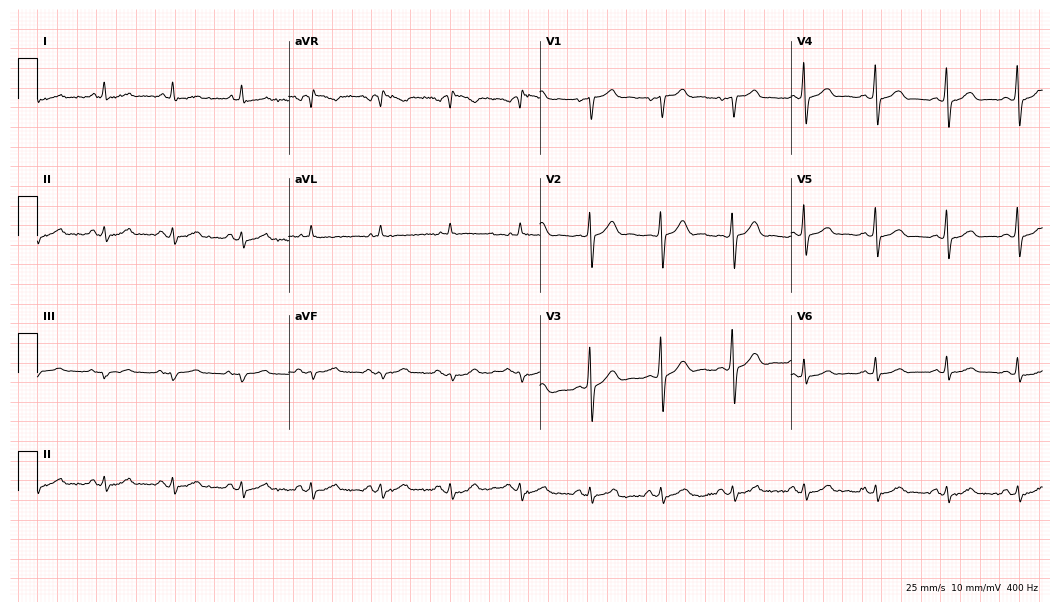
ECG — a male, 57 years old. Screened for six findings — first-degree AV block, right bundle branch block, left bundle branch block, sinus bradycardia, atrial fibrillation, sinus tachycardia — none is recorded.